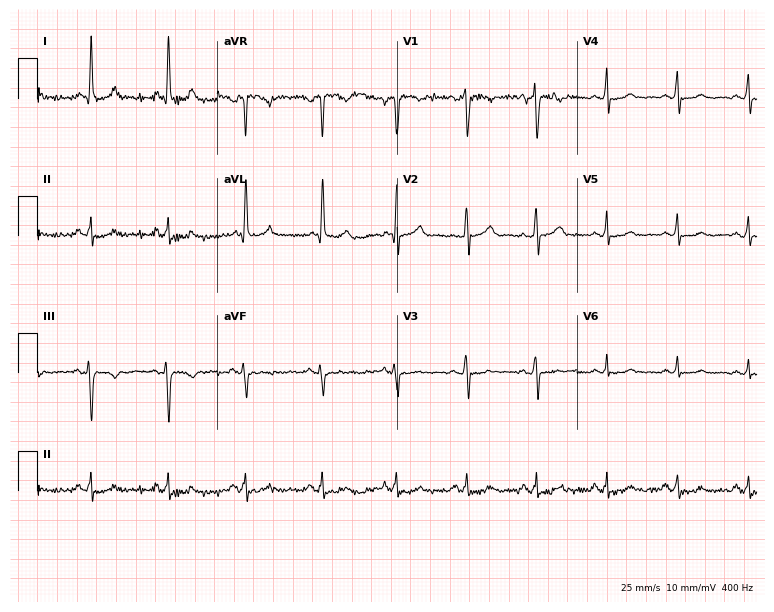
Electrocardiogram, a 47-year-old female patient. Of the six screened findings (first-degree AV block, right bundle branch block (RBBB), left bundle branch block (LBBB), sinus bradycardia, atrial fibrillation (AF), sinus tachycardia), none is recorded.